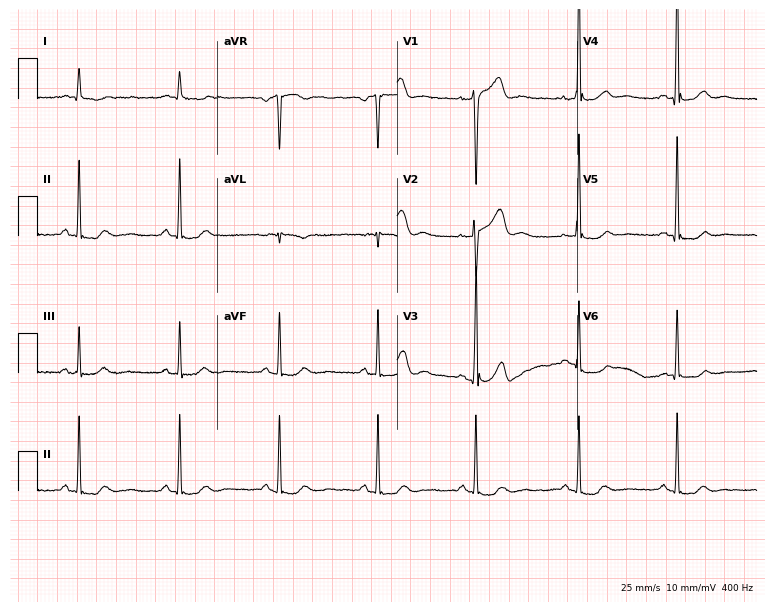
ECG — a male, 47 years old. Screened for six findings — first-degree AV block, right bundle branch block (RBBB), left bundle branch block (LBBB), sinus bradycardia, atrial fibrillation (AF), sinus tachycardia — none is recorded.